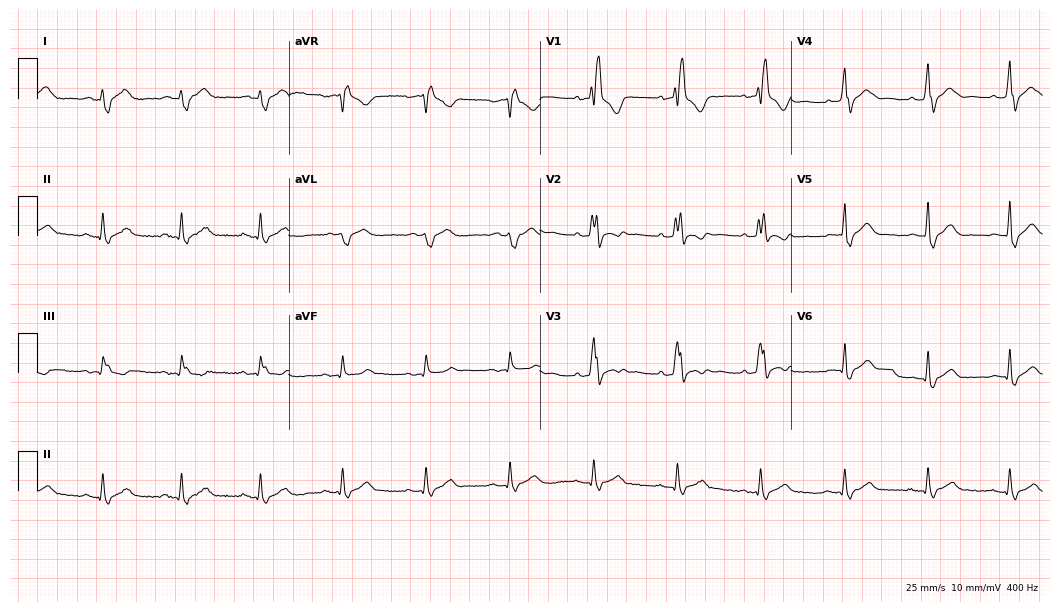
Standard 12-lead ECG recorded from a man, 64 years old. The tracing shows right bundle branch block (RBBB).